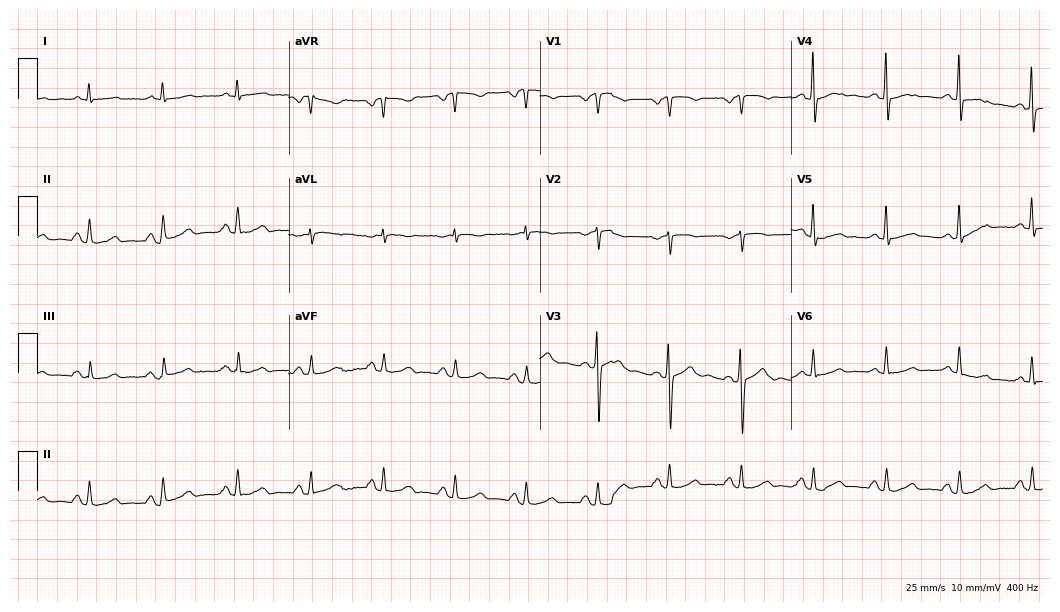
Standard 12-lead ECG recorded from a 70-year-old man. None of these six findings is recorded: first-degree AV block, right bundle branch block (RBBB), left bundle branch block (LBBB), sinus bradycardia, atrial fibrillation (AF), sinus tachycardia. Other findings, if any, are not listed.